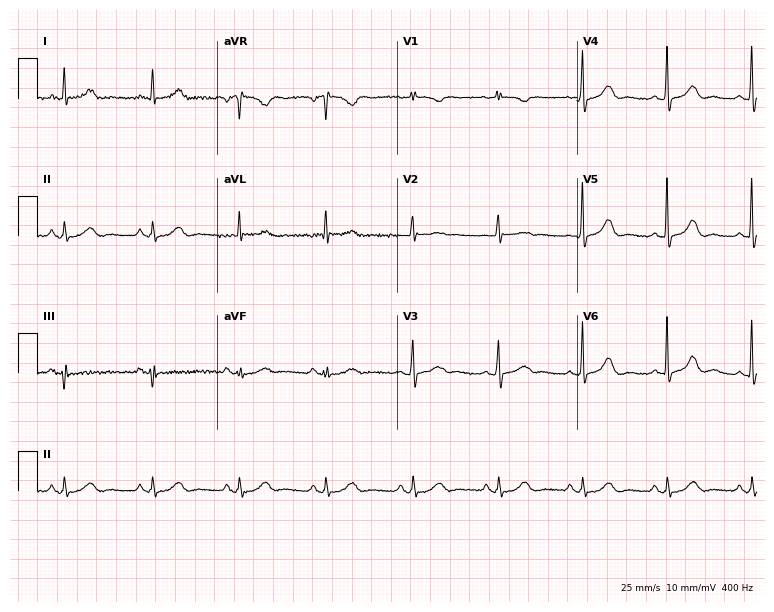
12-lead ECG from a female patient, 79 years old. Labelled as a normal ECG.